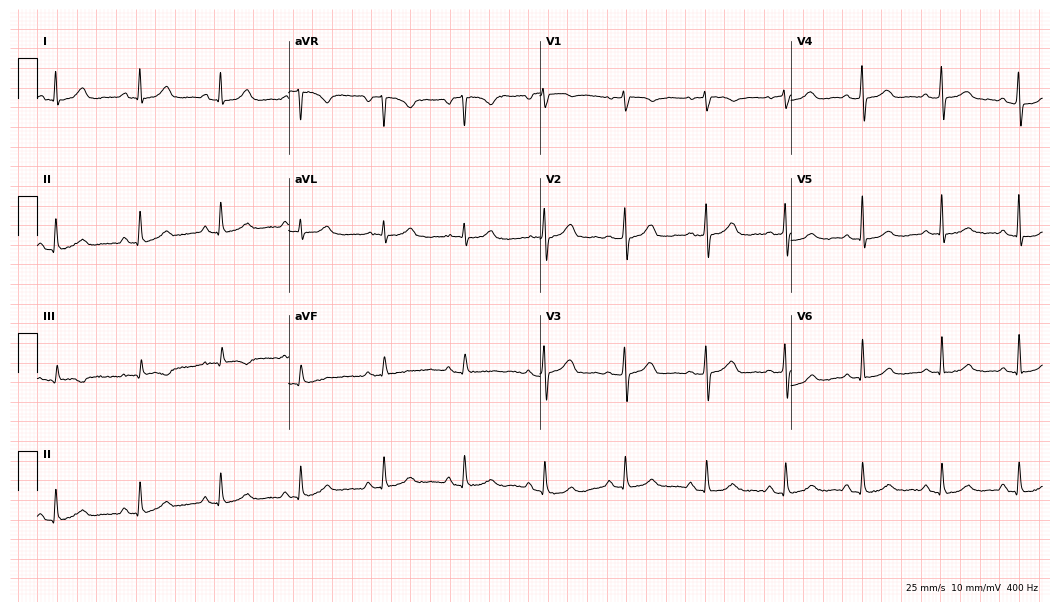
Electrocardiogram, a female patient, 46 years old. Overall reading on record: normal ECG.